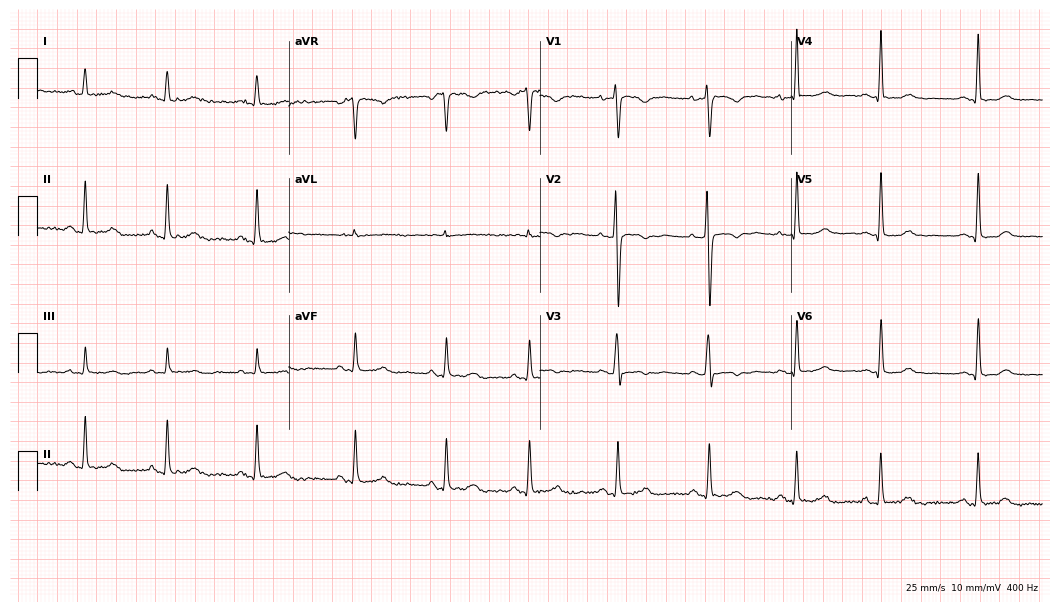
Electrocardiogram (10.2-second recording at 400 Hz), a female patient, 34 years old. Overall reading on record: normal ECG.